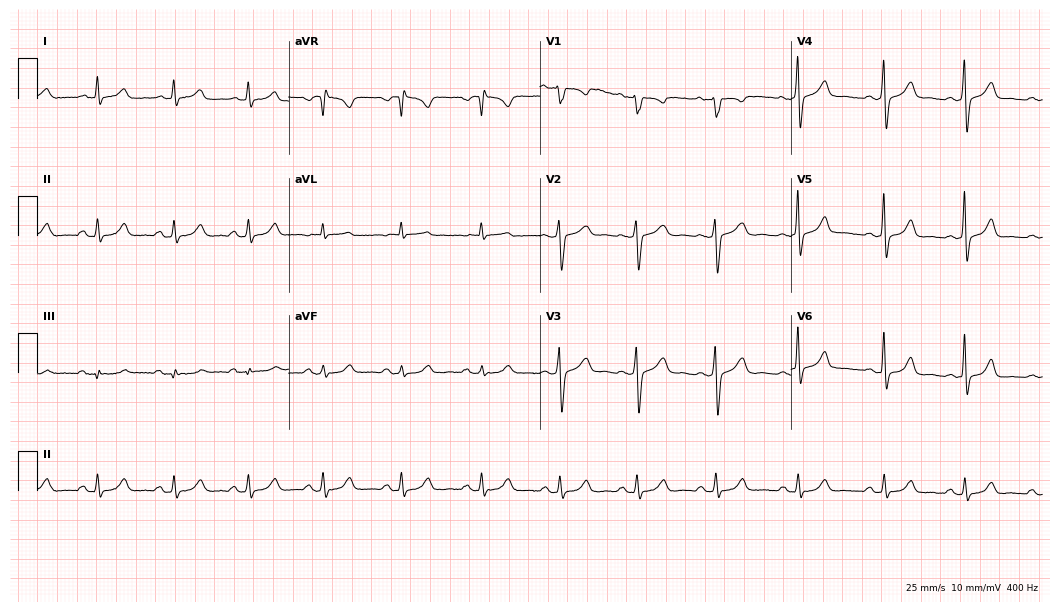
Standard 12-lead ECG recorded from a woman, 31 years old. Read as a normal ECG.